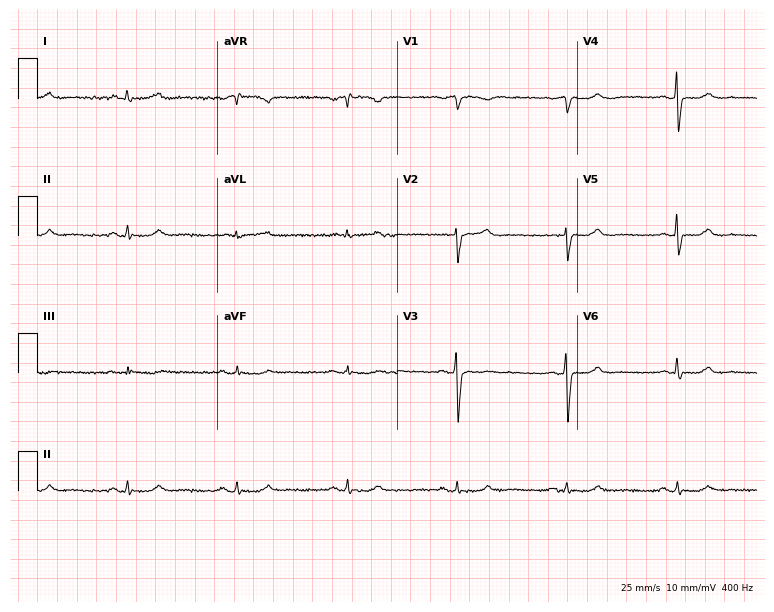
12-lead ECG from a 43-year-old female patient. Labelled as a normal ECG.